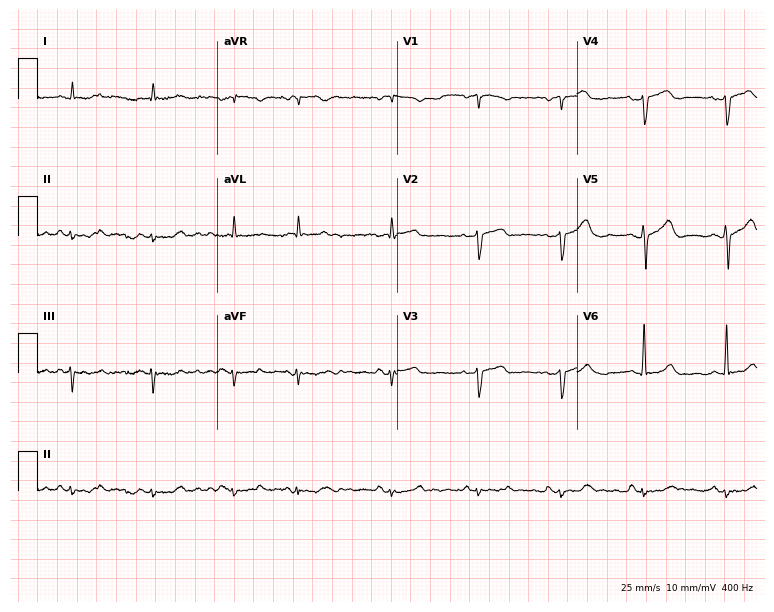
12-lead ECG from an 83-year-old male. Screened for six findings — first-degree AV block, right bundle branch block, left bundle branch block, sinus bradycardia, atrial fibrillation, sinus tachycardia — none is recorded.